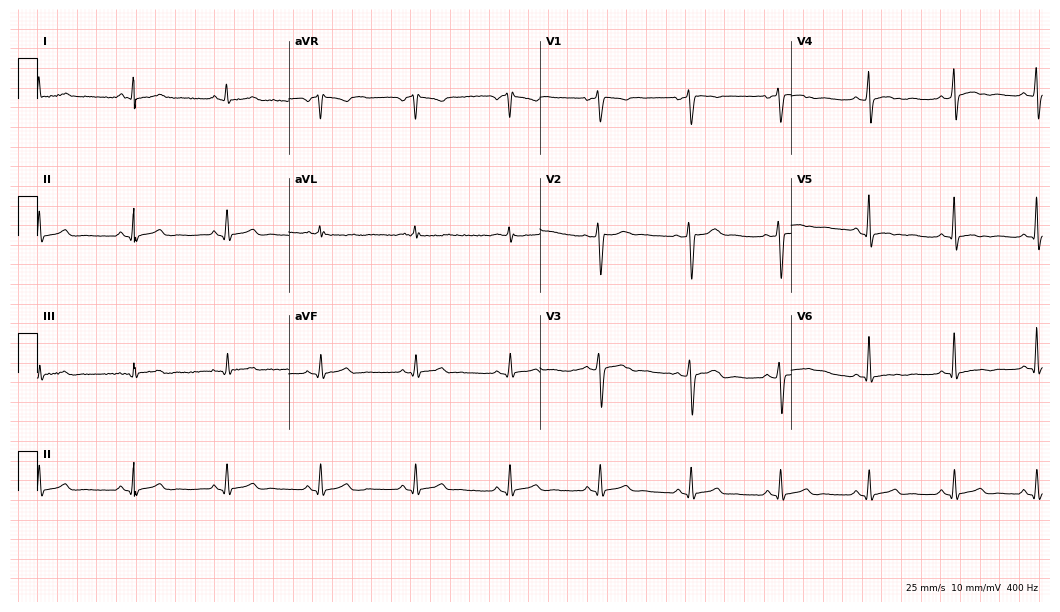
12-lead ECG from a female patient, 40 years old (10.2-second recording at 400 Hz). No first-degree AV block, right bundle branch block (RBBB), left bundle branch block (LBBB), sinus bradycardia, atrial fibrillation (AF) or sinus tachycardia recorded for this tracing.